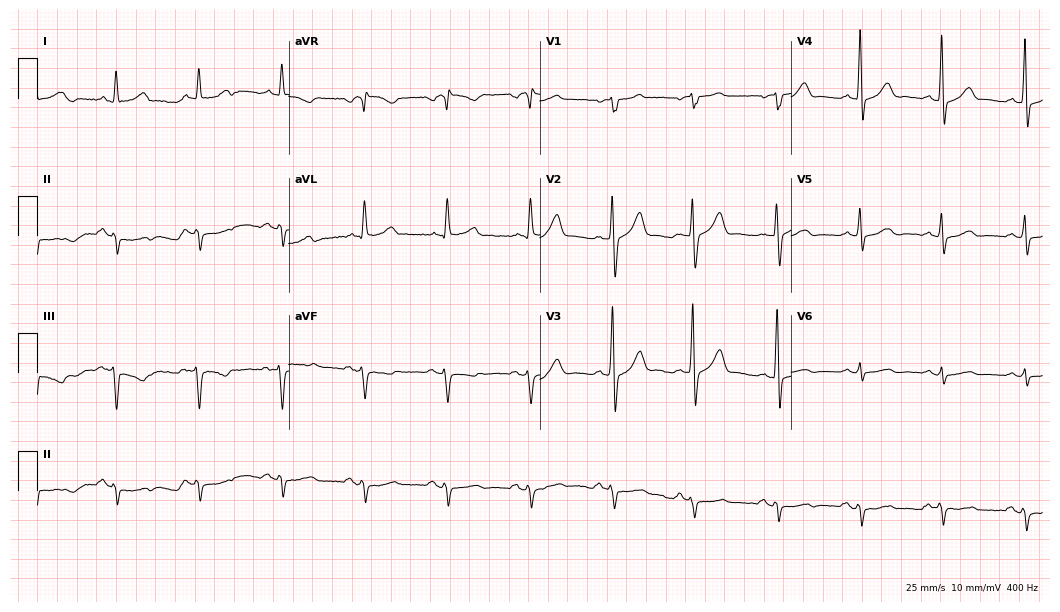
12-lead ECG from a male, 72 years old. Screened for six findings — first-degree AV block, right bundle branch block, left bundle branch block, sinus bradycardia, atrial fibrillation, sinus tachycardia — none is recorded. Other findings, if any, are not listed.